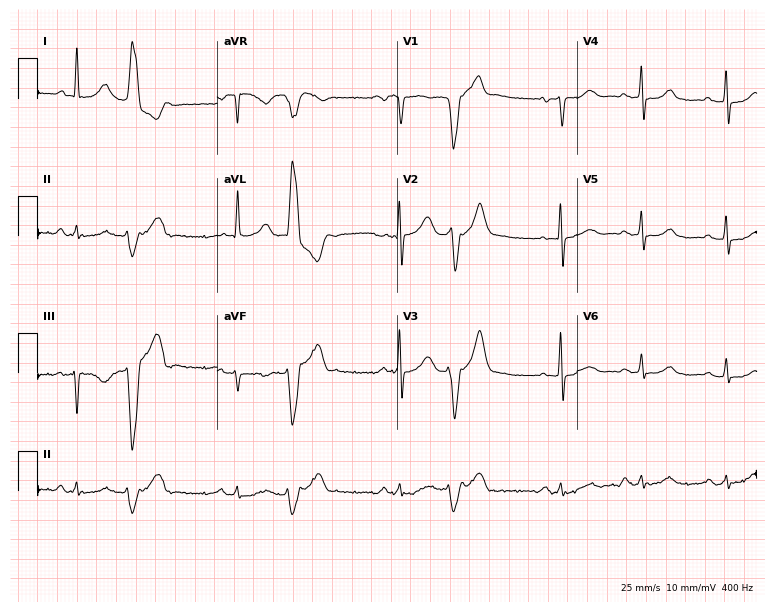
12-lead ECG from a female, 71 years old (7.3-second recording at 400 Hz). No first-degree AV block, right bundle branch block (RBBB), left bundle branch block (LBBB), sinus bradycardia, atrial fibrillation (AF) or sinus tachycardia recorded for this tracing. Findings outside these six are not listed.